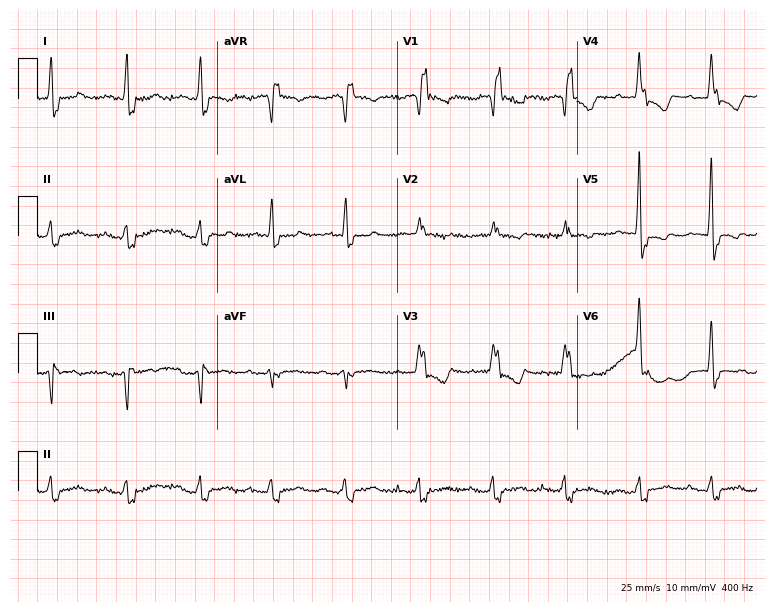
Electrocardiogram (7.3-second recording at 400 Hz), an 84-year-old woman. Interpretation includes first-degree AV block, right bundle branch block.